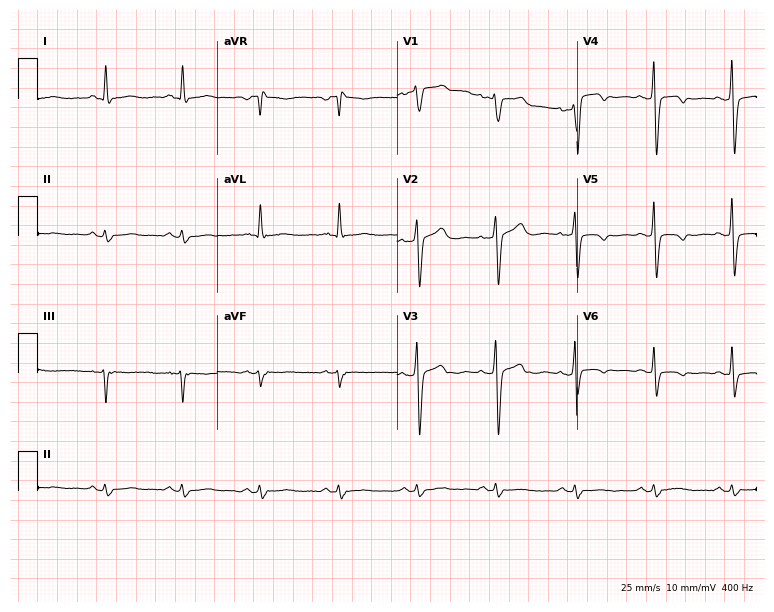
Electrocardiogram, a 61-year-old woman. Of the six screened findings (first-degree AV block, right bundle branch block (RBBB), left bundle branch block (LBBB), sinus bradycardia, atrial fibrillation (AF), sinus tachycardia), none is recorded.